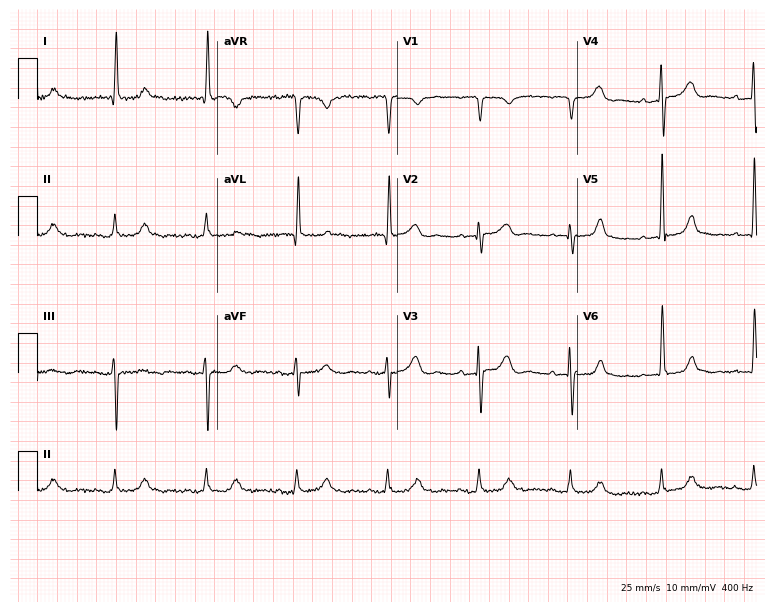
ECG — a female, 79 years old. Labelled as a normal ECG.